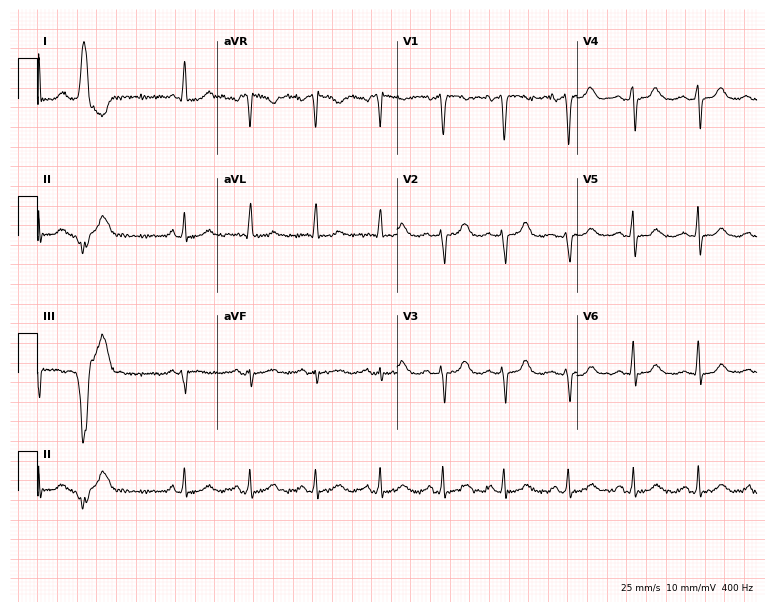
Resting 12-lead electrocardiogram. Patient: a female, 55 years old. Read as a normal ECG.